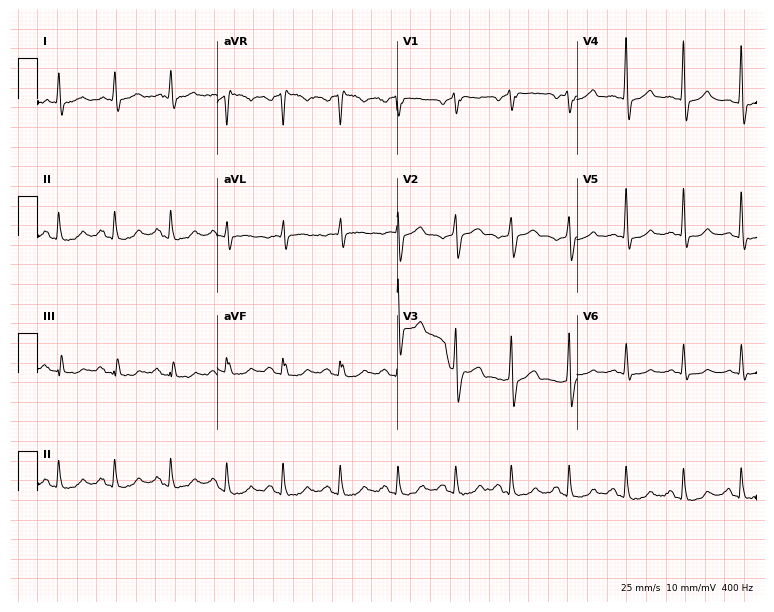
12-lead ECG from a 64-year-old male (7.3-second recording at 400 Hz). No first-degree AV block, right bundle branch block (RBBB), left bundle branch block (LBBB), sinus bradycardia, atrial fibrillation (AF) or sinus tachycardia recorded for this tracing.